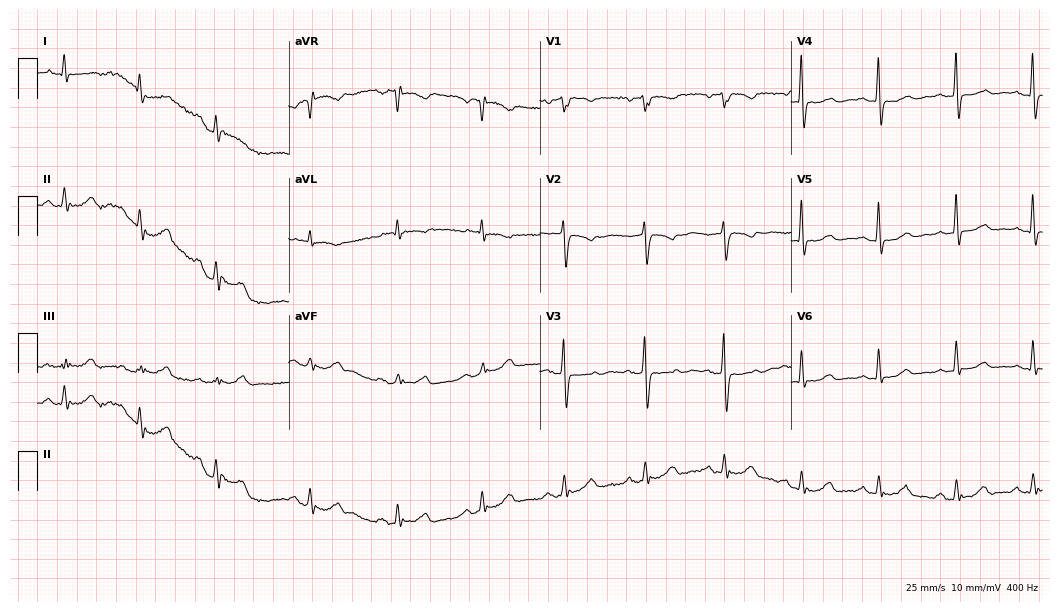
12-lead ECG (10.2-second recording at 400 Hz) from a 69-year-old woman. Screened for six findings — first-degree AV block, right bundle branch block, left bundle branch block, sinus bradycardia, atrial fibrillation, sinus tachycardia — none is recorded.